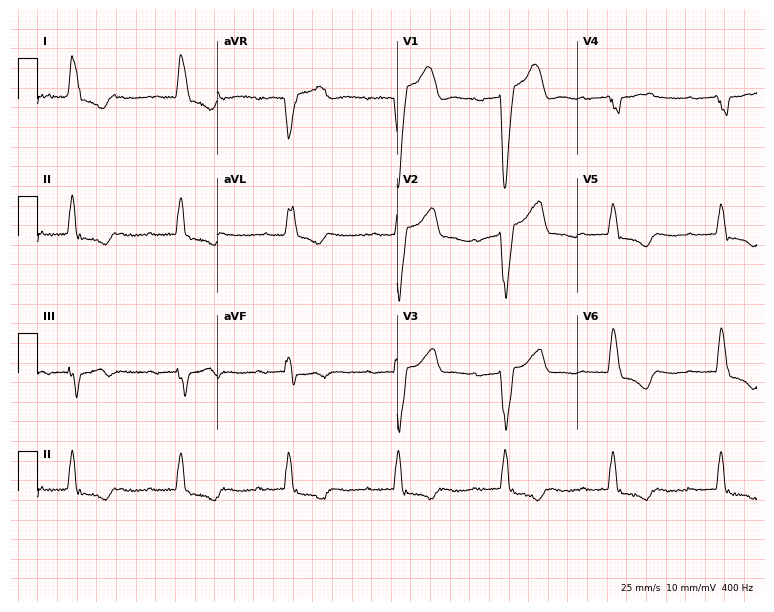
ECG (7.3-second recording at 400 Hz) — a 78-year-old male. Findings include first-degree AV block, left bundle branch block.